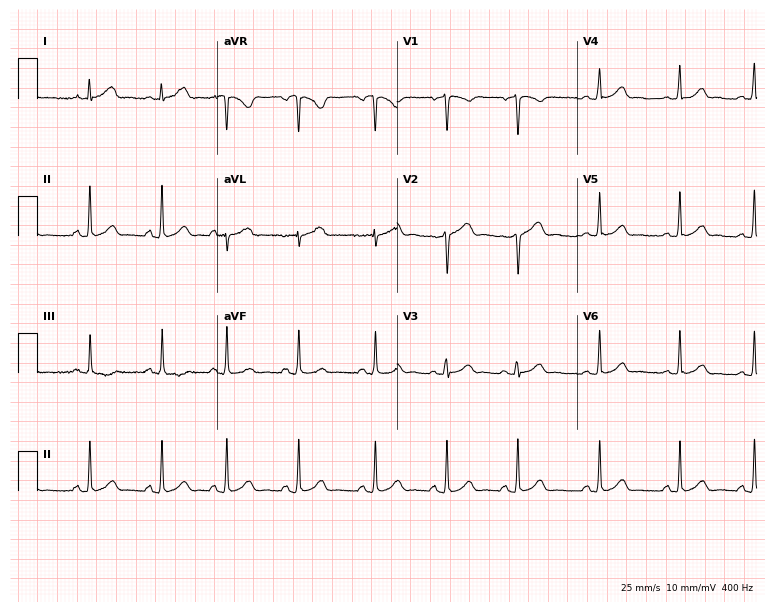
12-lead ECG from a 38-year-old female (7.3-second recording at 400 Hz). Recorded interpretation: within normal limits.